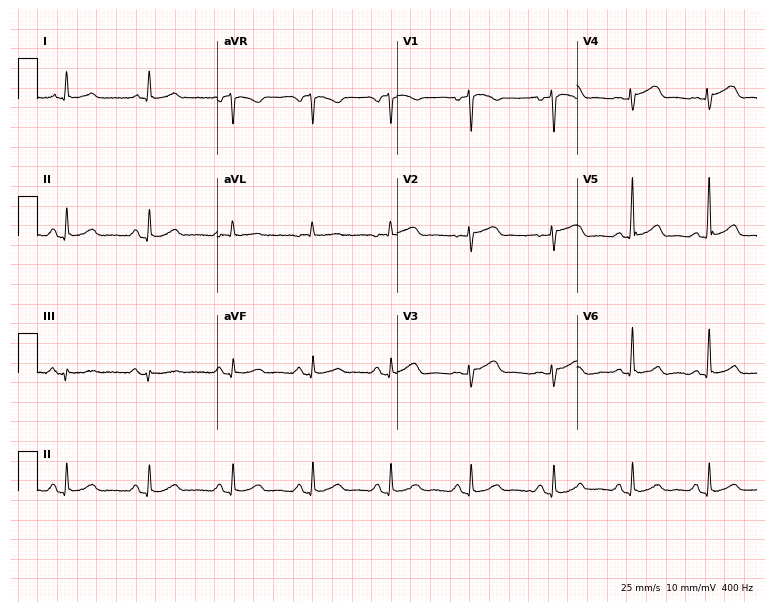
Resting 12-lead electrocardiogram (7.3-second recording at 400 Hz). Patient: a 56-year-old female. None of these six findings is recorded: first-degree AV block, right bundle branch block (RBBB), left bundle branch block (LBBB), sinus bradycardia, atrial fibrillation (AF), sinus tachycardia.